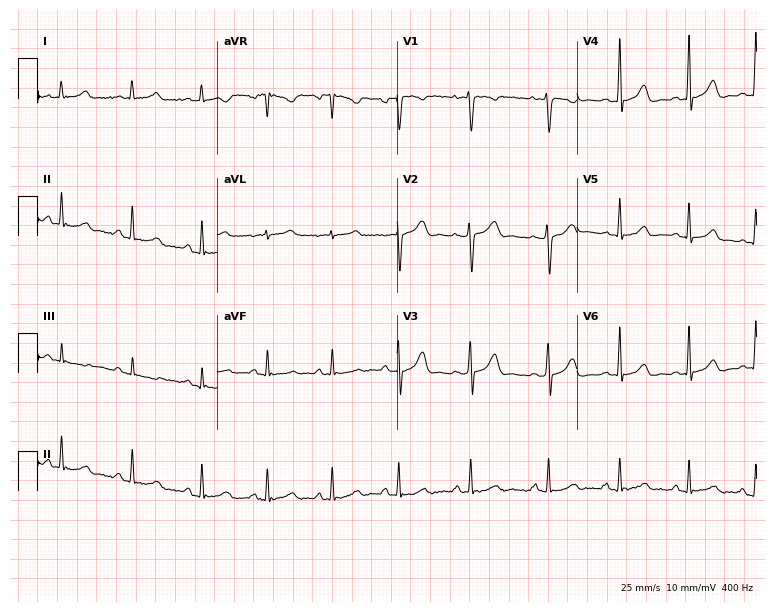
ECG — a 21-year-old female. Screened for six findings — first-degree AV block, right bundle branch block (RBBB), left bundle branch block (LBBB), sinus bradycardia, atrial fibrillation (AF), sinus tachycardia — none is recorded.